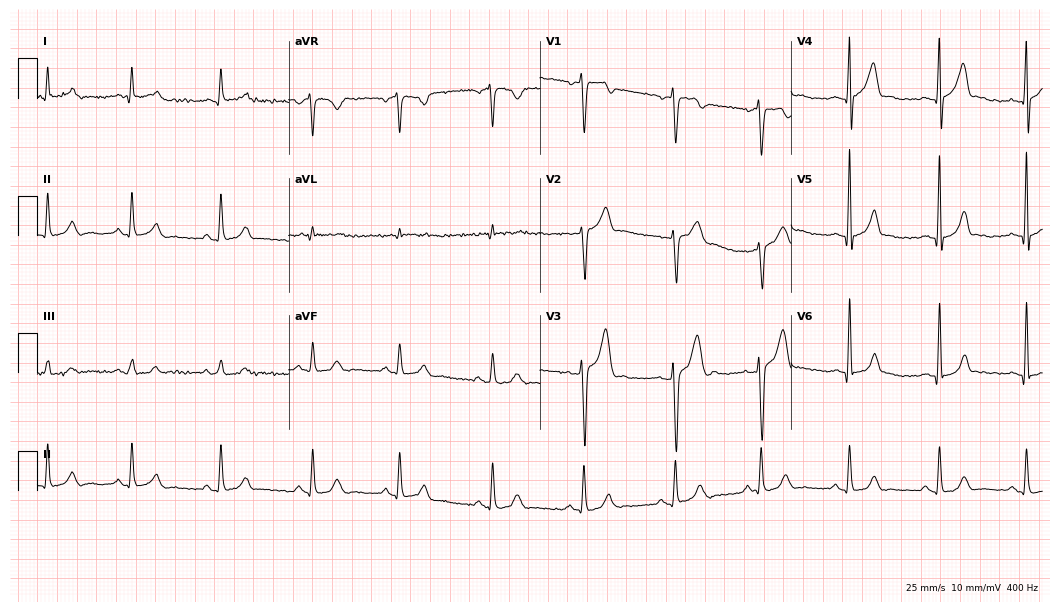
ECG — a male patient, 24 years old. Labelled as a normal ECG.